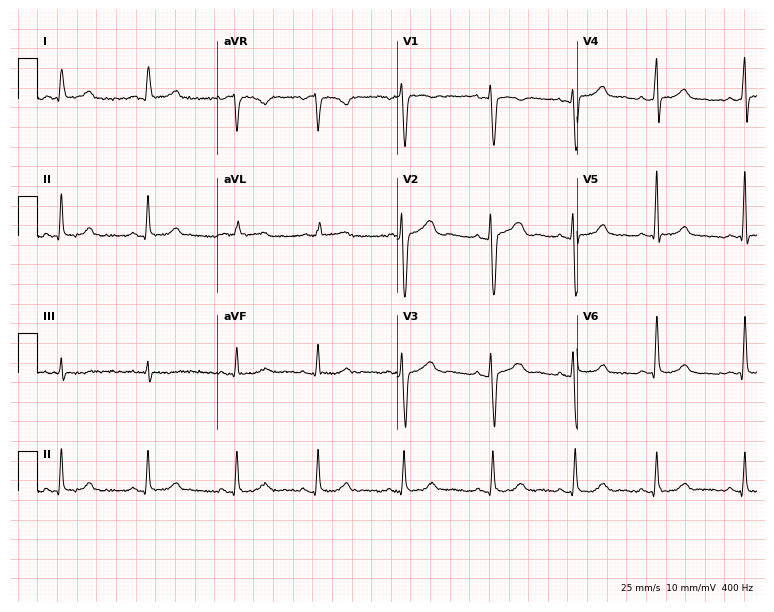
Resting 12-lead electrocardiogram (7.3-second recording at 400 Hz). Patient: a 34-year-old female. None of these six findings is recorded: first-degree AV block, right bundle branch block (RBBB), left bundle branch block (LBBB), sinus bradycardia, atrial fibrillation (AF), sinus tachycardia.